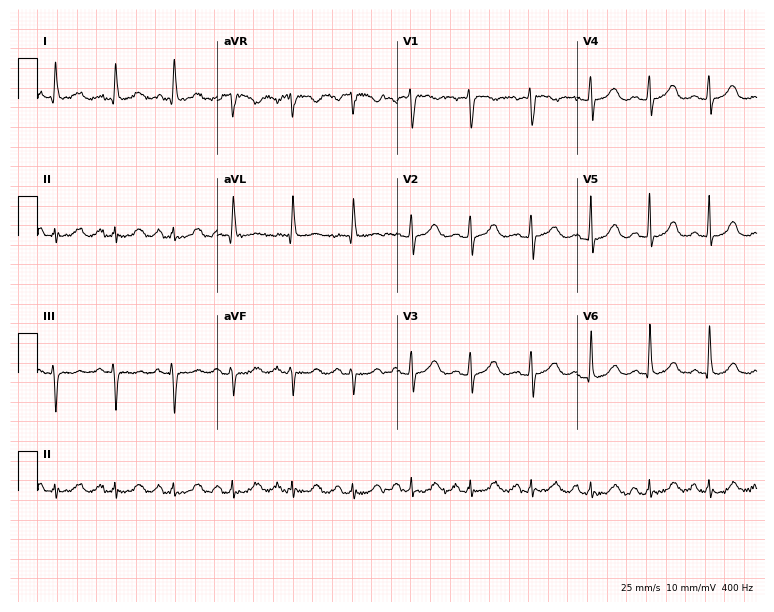
12-lead ECG (7.3-second recording at 400 Hz) from a woman, 72 years old. Labelled as a normal ECG.